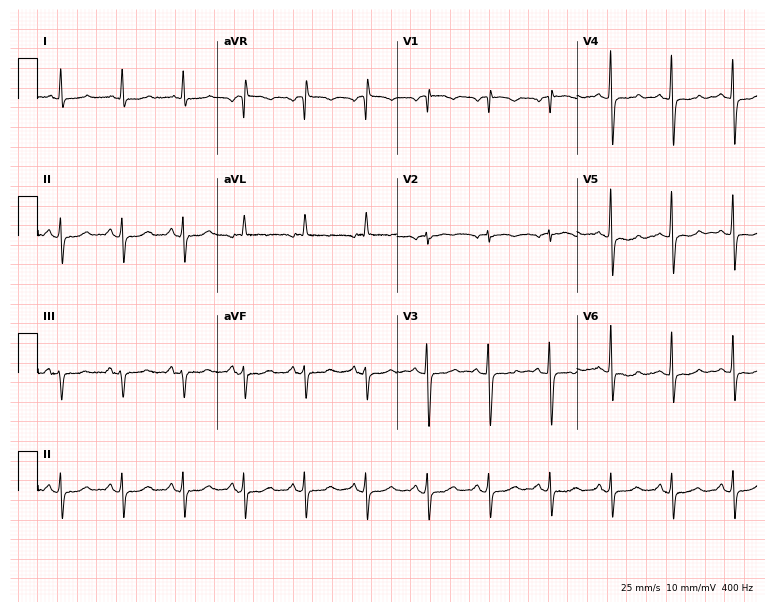
Resting 12-lead electrocardiogram (7.3-second recording at 400 Hz). Patient: a 72-year-old female. None of these six findings is recorded: first-degree AV block, right bundle branch block, left bundle branch block, sinus bradycardia, atrial fibrillation, sinus tachycardia. Only these six findings were labelled.